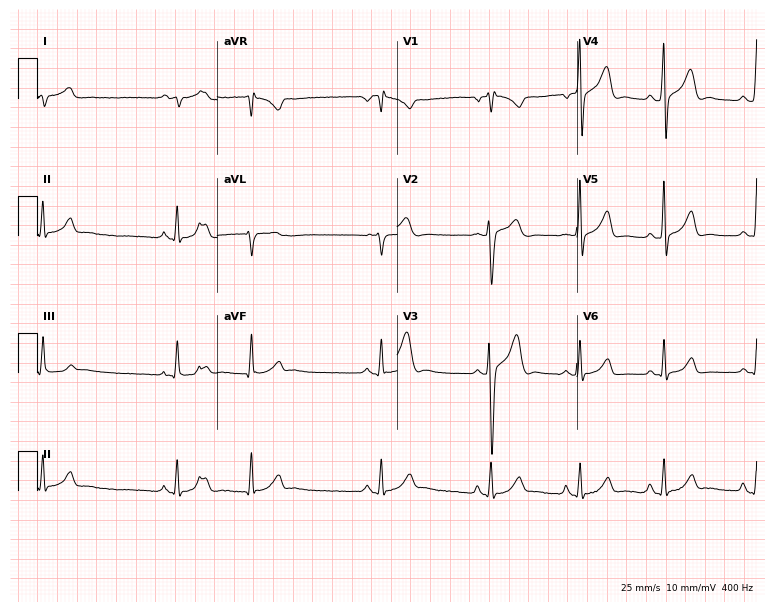
Resting 12-lead electrocardiogram (7.3-second recording at 400 Hz). Patient: an 18-year-old man. None of these six findings is recorded: first-degree AV block, right bundle branch block, left bundle branch block, sinus bradycardia, atrial fibrillation, sinus tachycardia. Other findings, if any, are not listed.